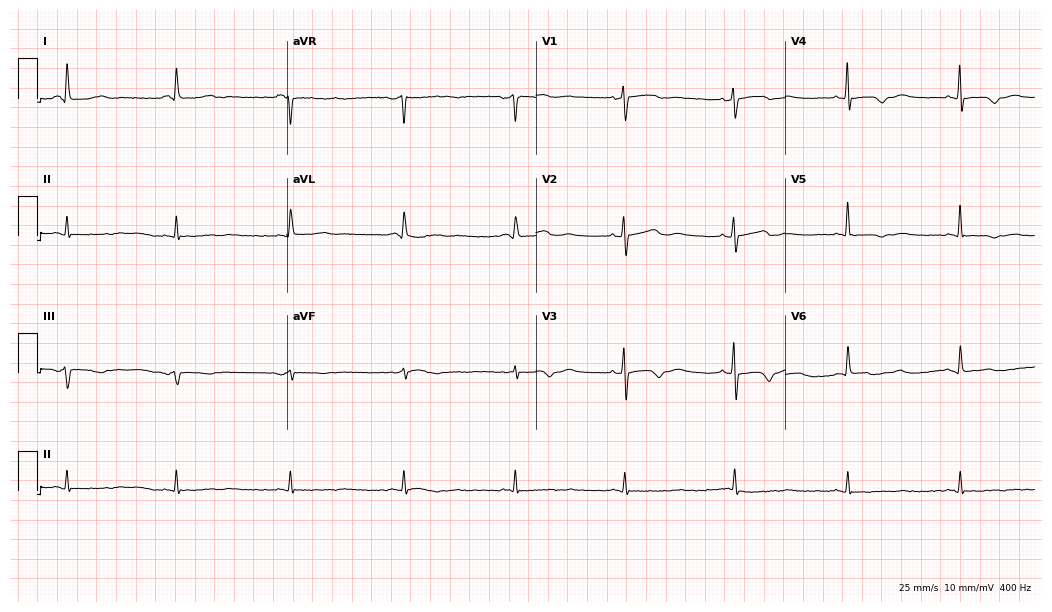
ECG — a female, 58 years old. Screened for six findings — first-degree AV block, right bundle branch block, left bundle branch block, sinus bradycardia, atrial fibrillation, sinus tachycardia — none is recorded.